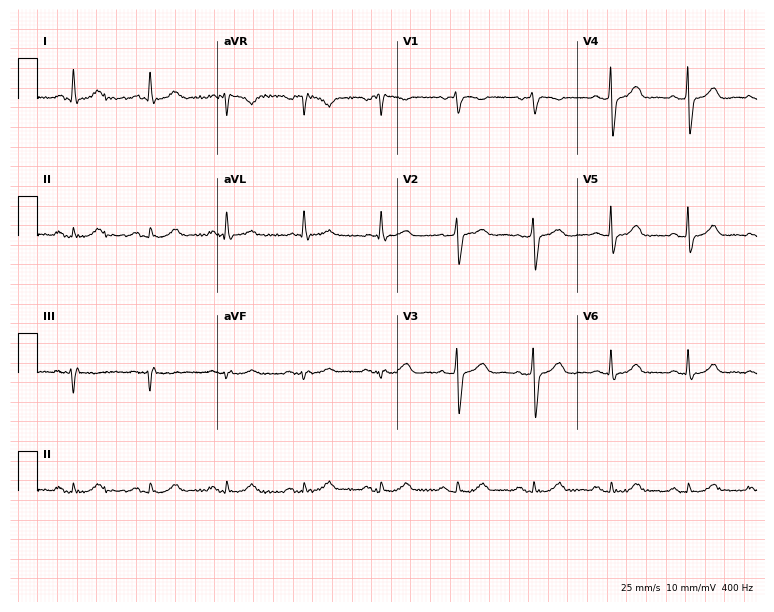
ECG — a male, 63 years old. Labelled as a normal ECG.